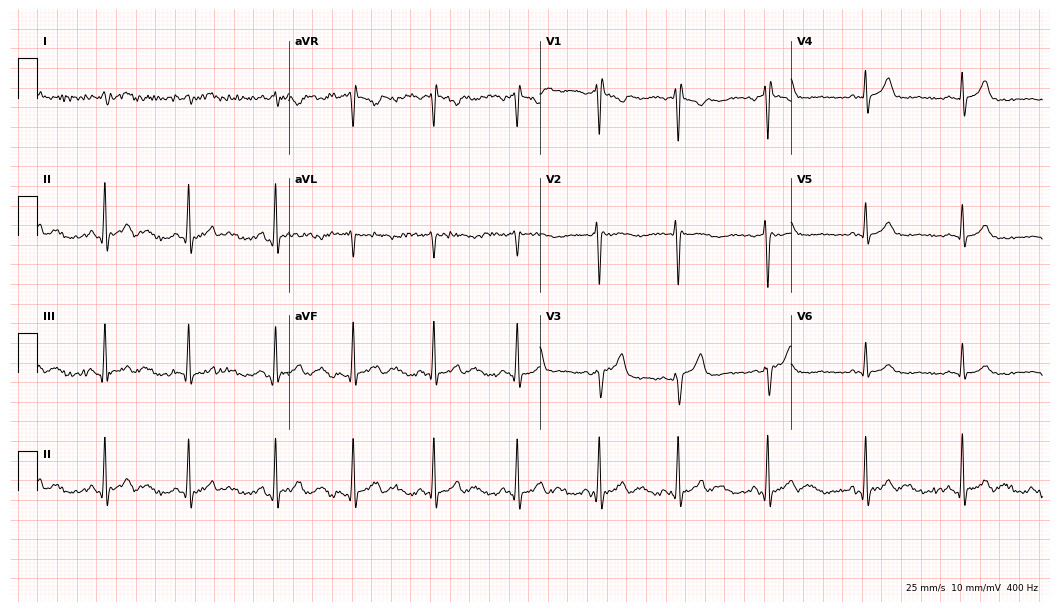
ECG (10.2-second recording at 400 Hz) — a male patient, 22 years old. Screened for six findings — first-degree AV block, right bundle branch block, left bundle branch block, sinus bradycardia, atrial fibrillation, sinus tachycardia — none is recorded. Findings outside these six are not listed.